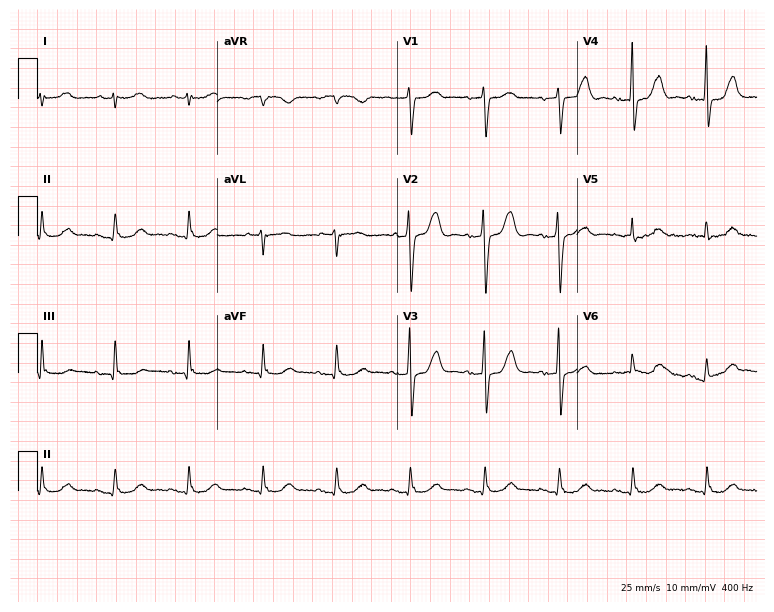
Electrocardiogram, an 81-year-old female patient. Of the six screened findings (first-degree AV block, right bundle branch block, left bundle branch block, sinus bradycardia, atrial fibrillation, sinus tachycardia), none is recorded.